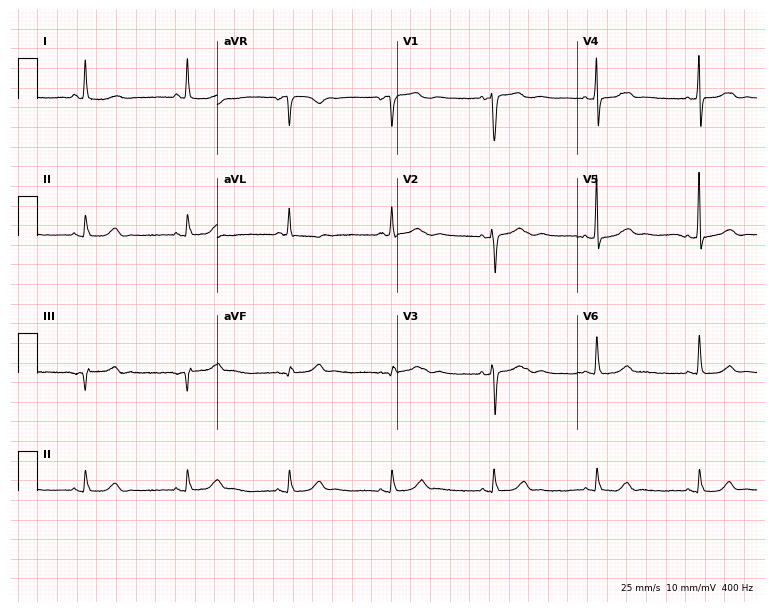
Resting 12-lead electrocardiogram (7.3-second recording at 400 Hz). Patient: an 86-year-old female. None of these six findings is recorded: first-degree AV block, right bundle branch block (RBBB), left bundle branch block (LBBB), sinus bradycardia, atrial fibrillation (AF), sinus tachycardia. Findings outside these six are not listed.